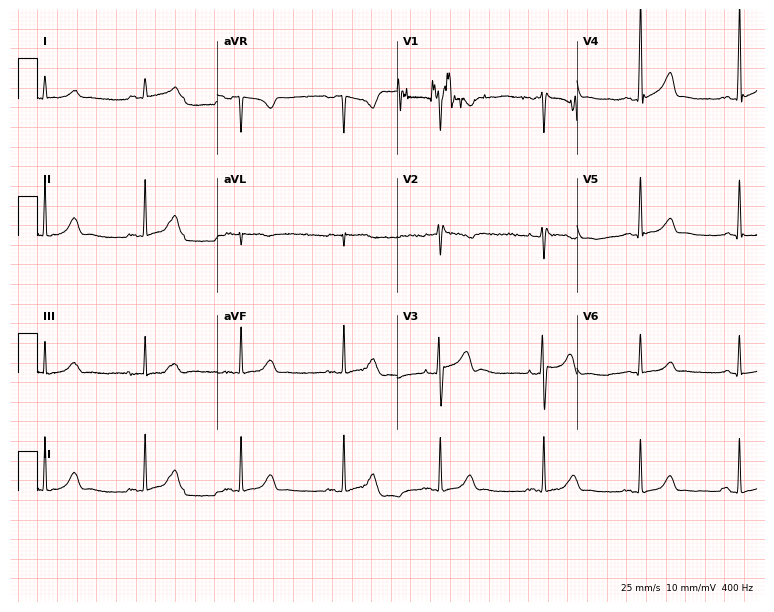
Electrocardiogram, a male, 53 years old. Overall reading on record: normal ECG.